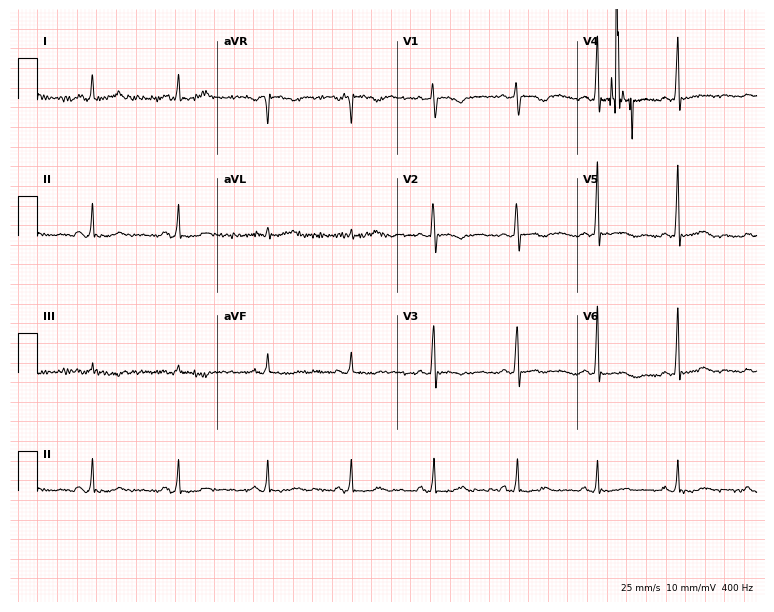
Resting 12-lead electrocardiogram. Patient: a female, 50 years old. None of these six findings is recorded: first-degree AV block, right bundle branch block, left bundle branch block, sinus bradycardia, atrial fibrillation, sinus tachycardia. Other findings, if any, are not listed.